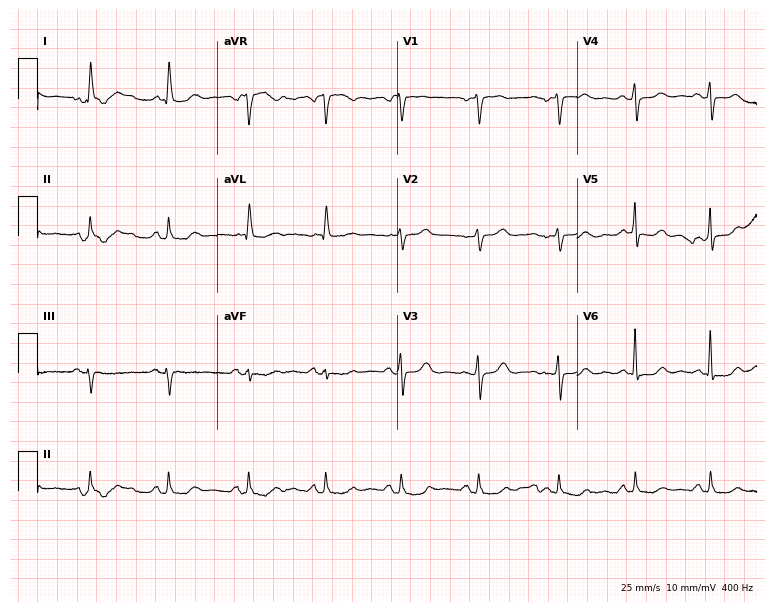
12-lead ECG from a 71-year-old male patient (7.3-second recording at 400 Hz). No first-degree AV block, right bundle branch block (RBBB), left bundle branch block (LBBB), sinus bradycardia, atrial fibrillation (AF) or sinus tachycardia recorded for this tracing.